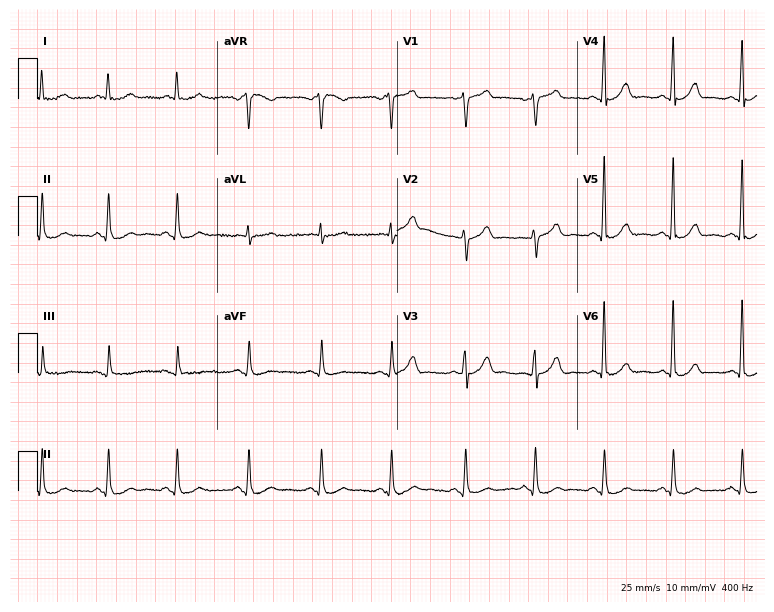
Resting 12-lead electrocardiogram (7.3-second recording at 400 Hz). Patient: a 64-year-old male. Read as a normal ECG.